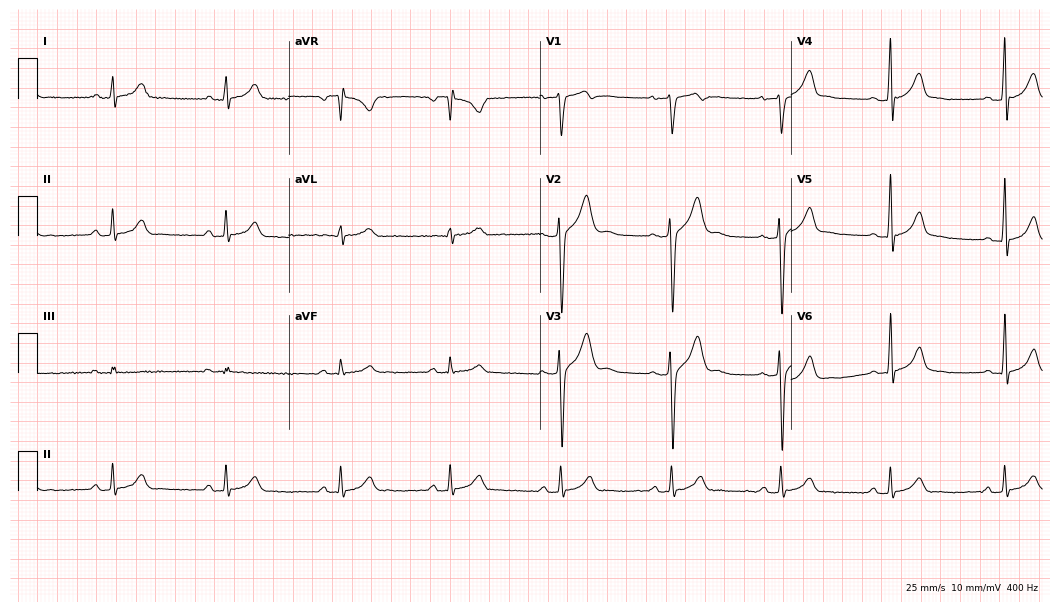
12-lead ECG from a male, 28 years old (10.2-second recording at 400 Hz). No first-degree AV block, right bundle branch block, left bundle branch block, sinus bradycardia, atrial fibrillation or sinus tachycardia recorded for this tracing.